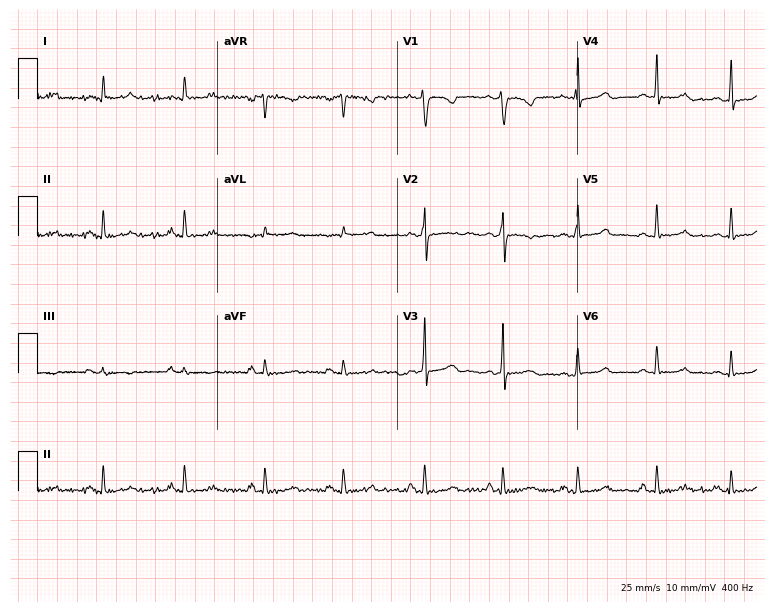
Electrocardiogram, a woman, 34 years old. Of the six screened findings (first-degree AV block, right bundle branch block, left bundle branch block, sinus bradycardia, atrial fibrillation, sinus tachycardia), none is recorded. Other findings, if any, are not listed.